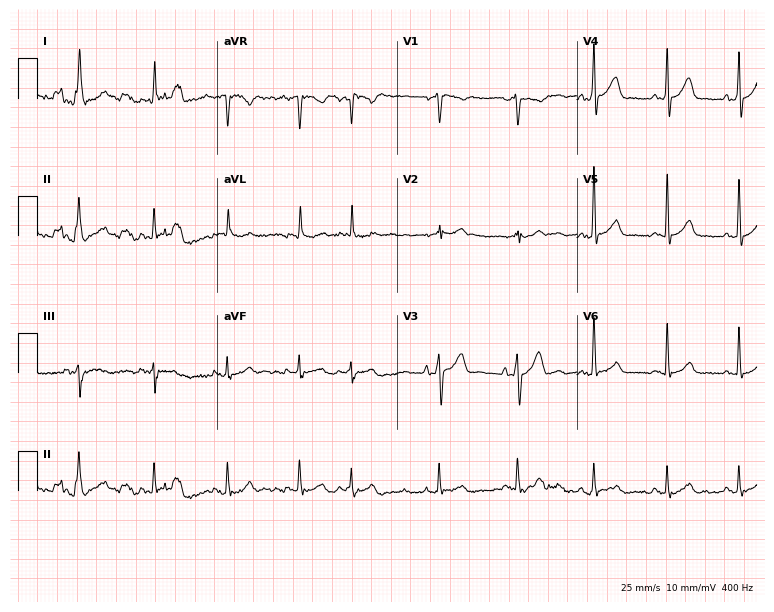
12-lead ECG (7.3-second recording at 400 Hz) from a male, 65 years old. Labelled as a normal ECG.